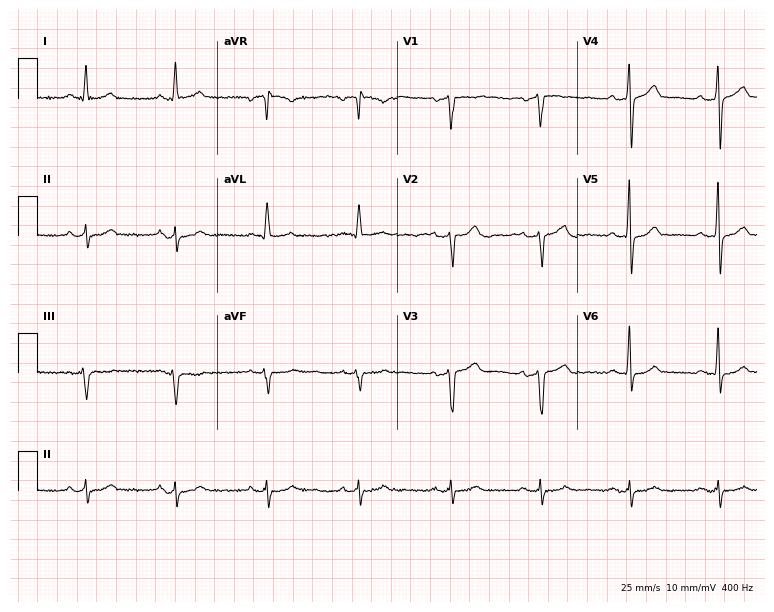
Electrocardiogram (7.3-second recording at 400 Hz), a man, 64 years old. Of the six screened findings (first-degree AV block, right bundle branch block (RBBB), left bundle branch block (LBBB), sinus bradycardia, atrial fibrillation (AF), sinus tachycardia), none is recorded.